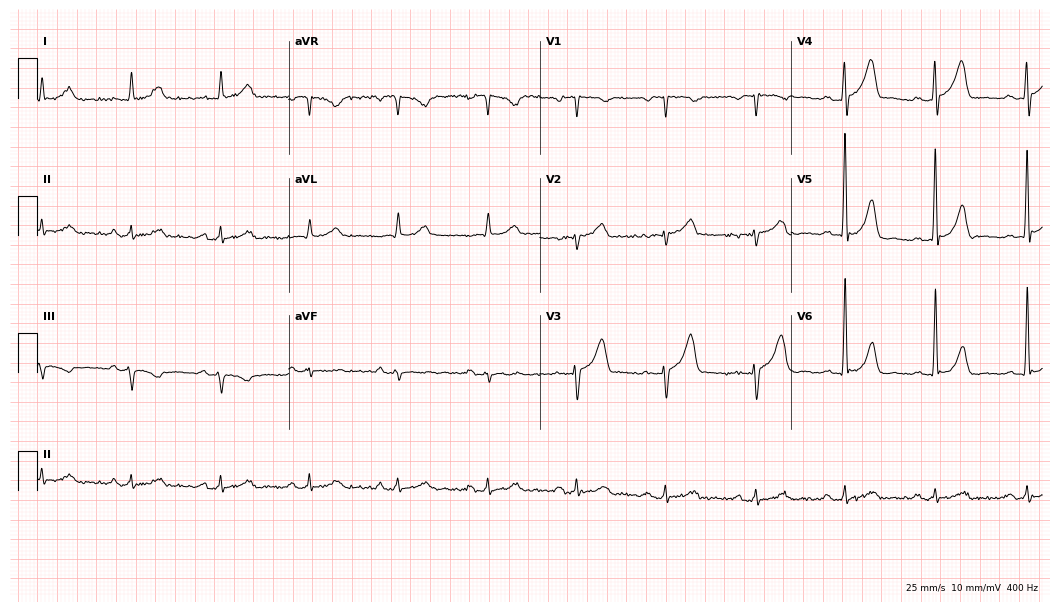
ECG — a male, 79 years old. Labelled as a normal ECG.